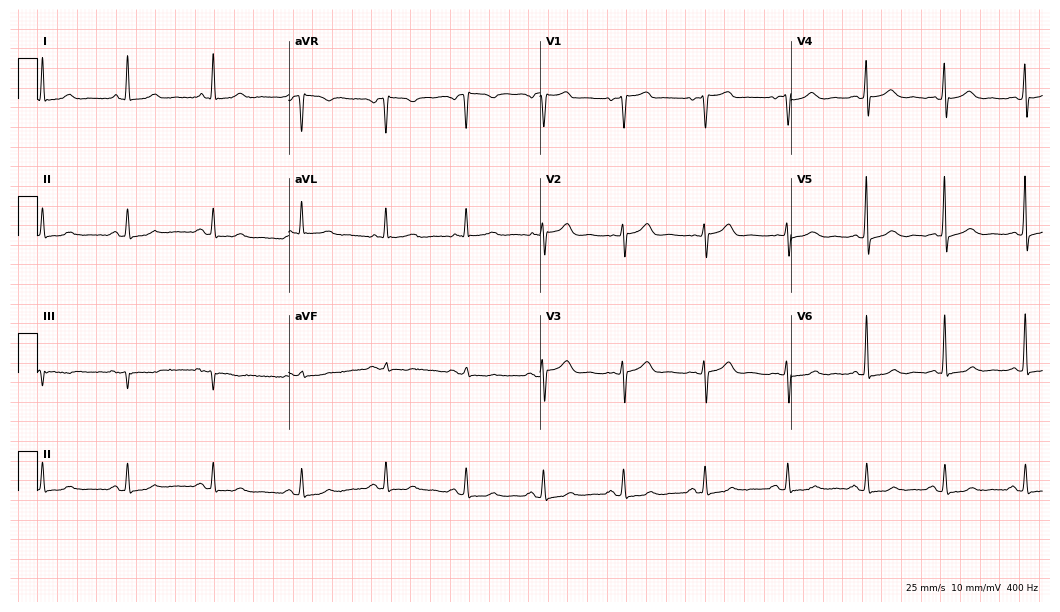
Resting 12-lead electrocardiogram. Patient: a 62-year-old female. Read as a normal ECG.